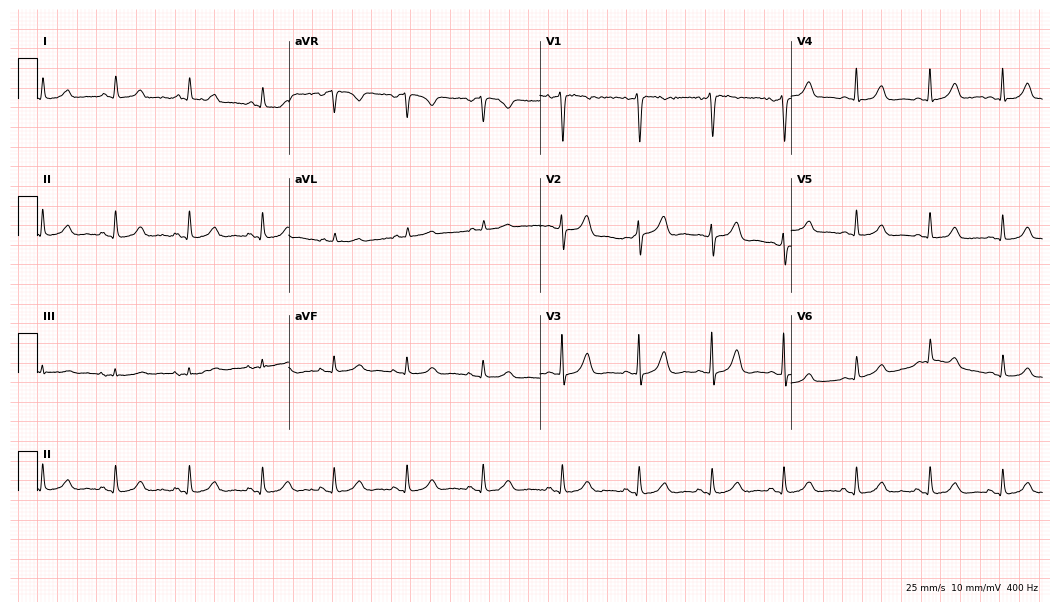
Electrocardiogram (10.2-second recording at 400 Hz), a 50-year-old female. Of the six screened findings (first-degree AV block, right bundle branch block, left bundle branch block, sinus bradycardia, atrial fibrillation, sinus tachycardia), none is recorded.